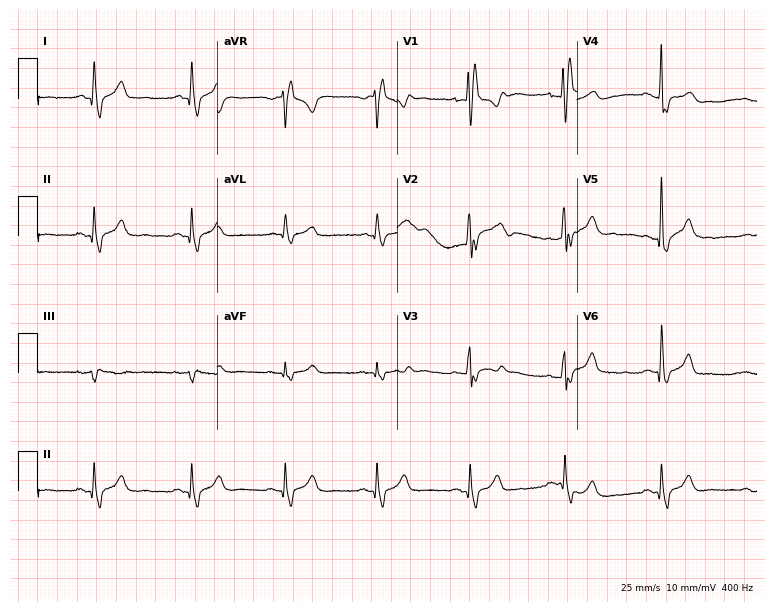
ECG — a female, 37 years old. Findings include right bundle branch block.